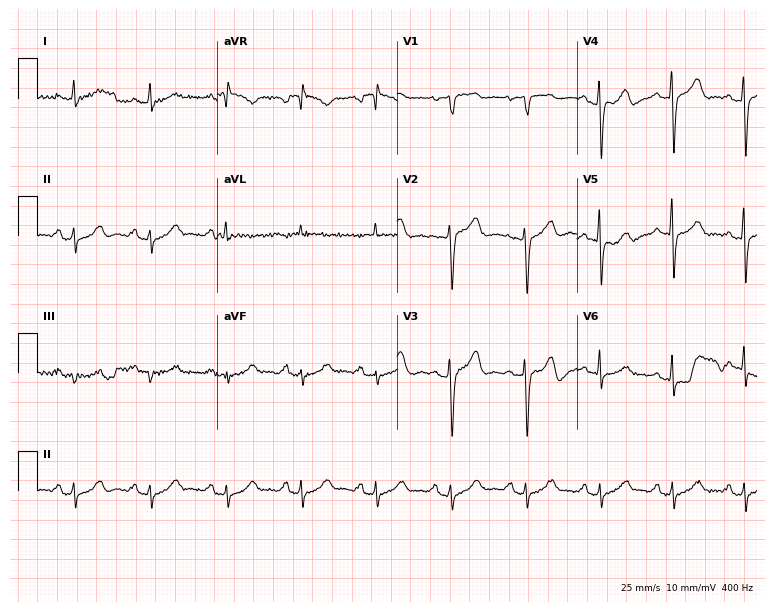
Standard 12-lead ECG recorded from a 78-year-old woman. Read as a normal ECG.